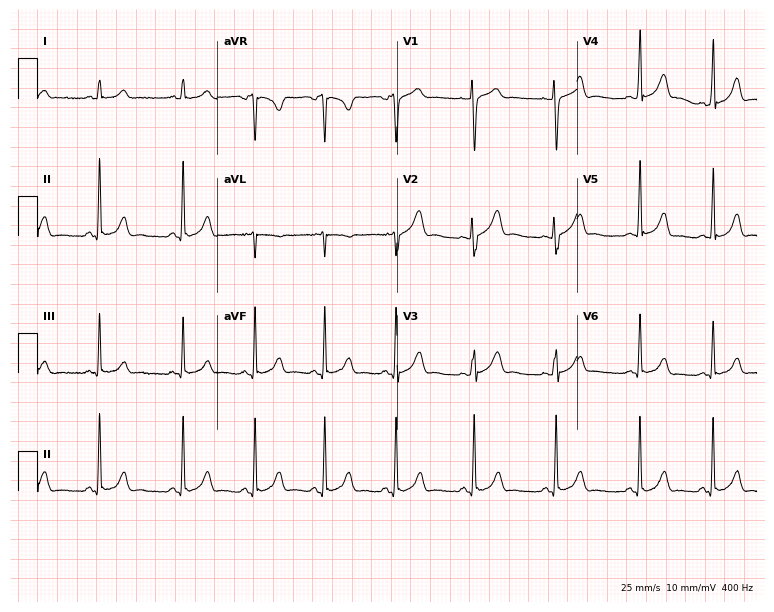
Electrocardiogram, a woman, 17 years old. Overall reading on record: normal ECG.